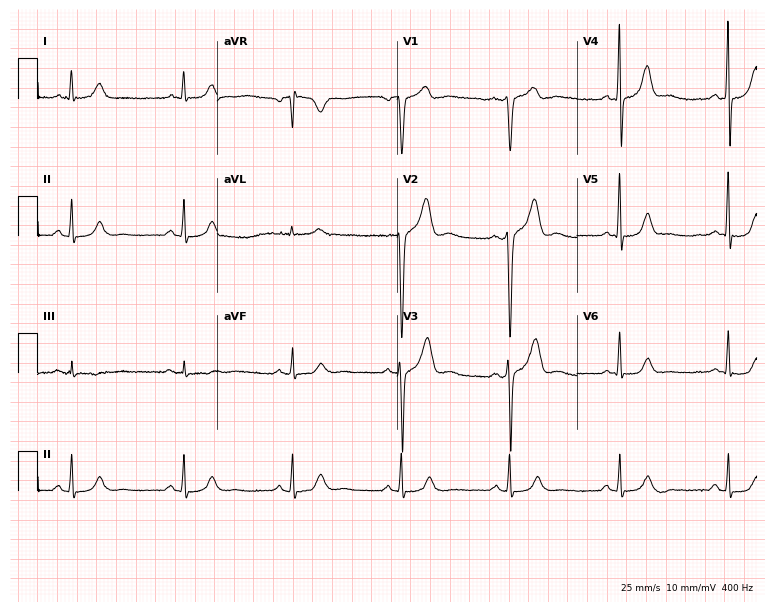
12-lead ECG from a 43-year-old male. No first-degree AV block, right bundle branch block, left bundle branch block, sinus bradycardia, atrial fibrillation or sinus tachycardia recorded for this tracing. Other findings, if any, are not listed.